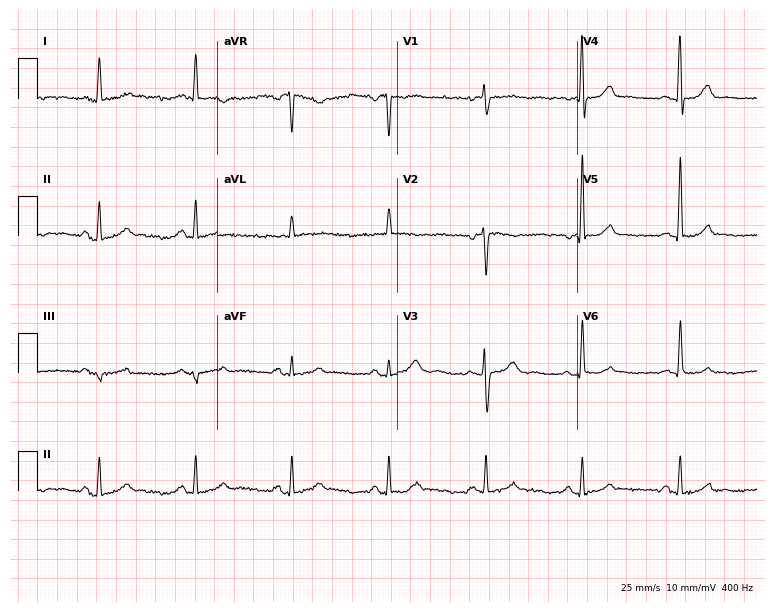
ECG (7.3-second recording at 400 Hz) — a 63-year-old male. Labelled as a normal ECG.